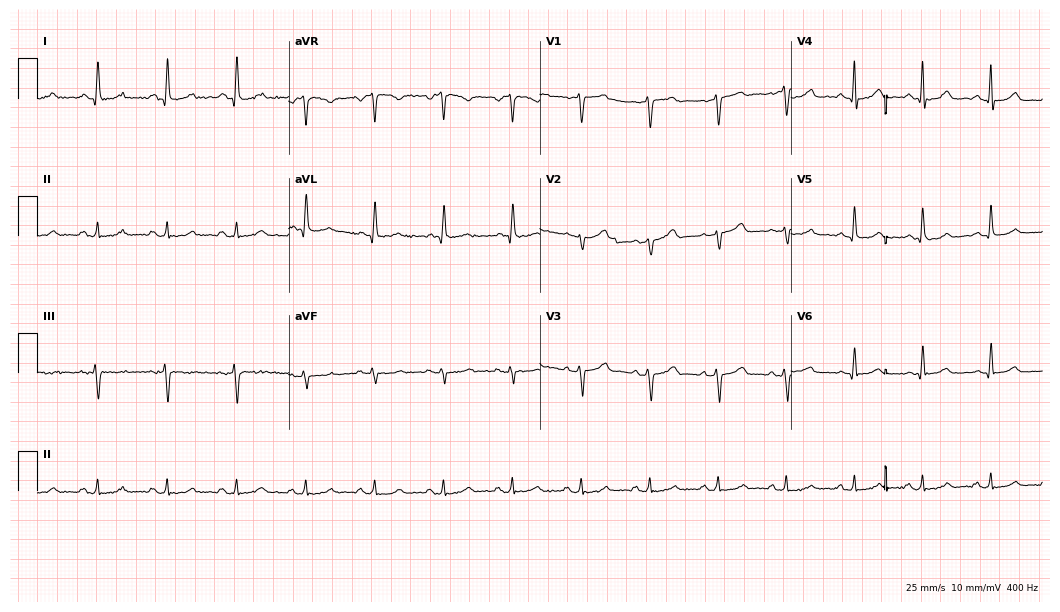
Standard 12-lead ECG recorded from a 73-year-old woman (10.2-second recording at 400 Hz). Read as a normal ECG.